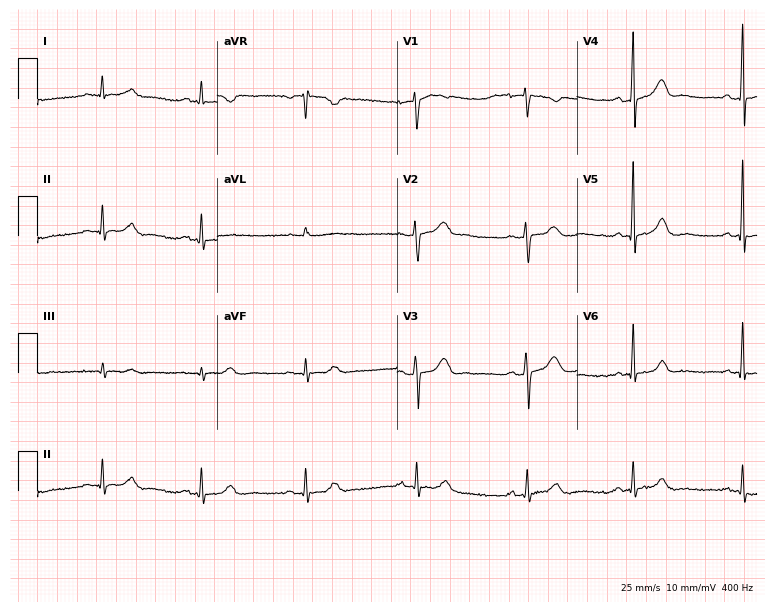
ECG — a female, 68 years old. Labelled as a normal ECG.